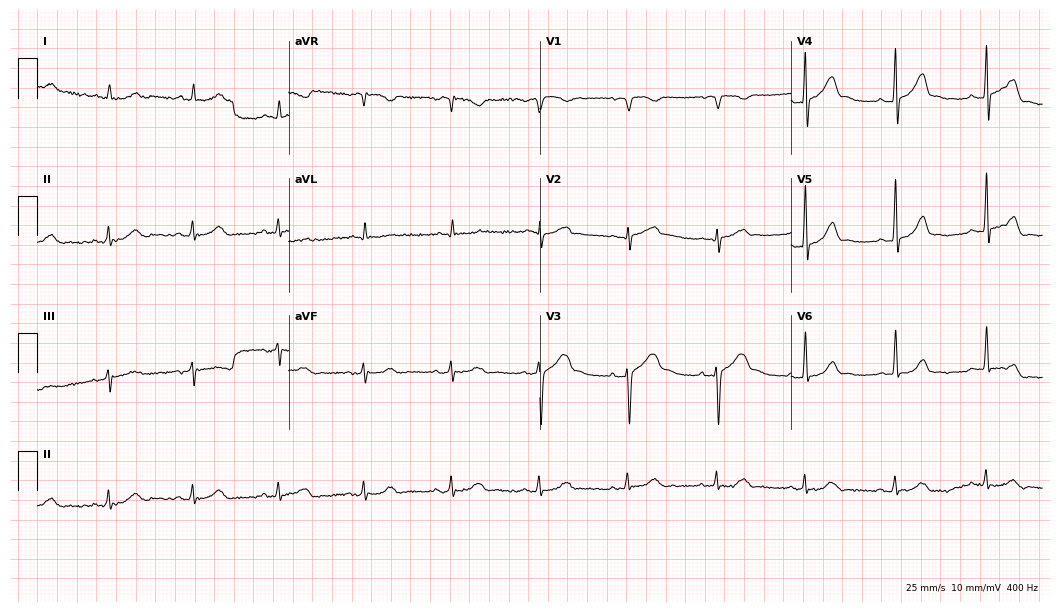
12-lead ECG from a male patient, 67 years old (10.2-second recording at 400 Hz). Recorded interpretation: within normal limits.